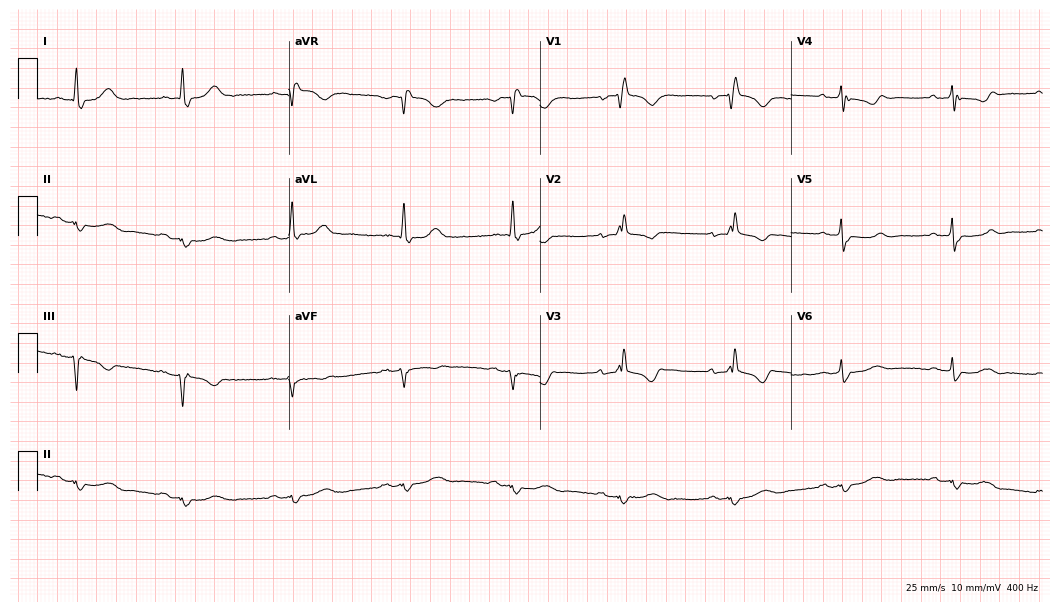
ECG — a 78-year-old female patient. Findings include right bundle branch block.